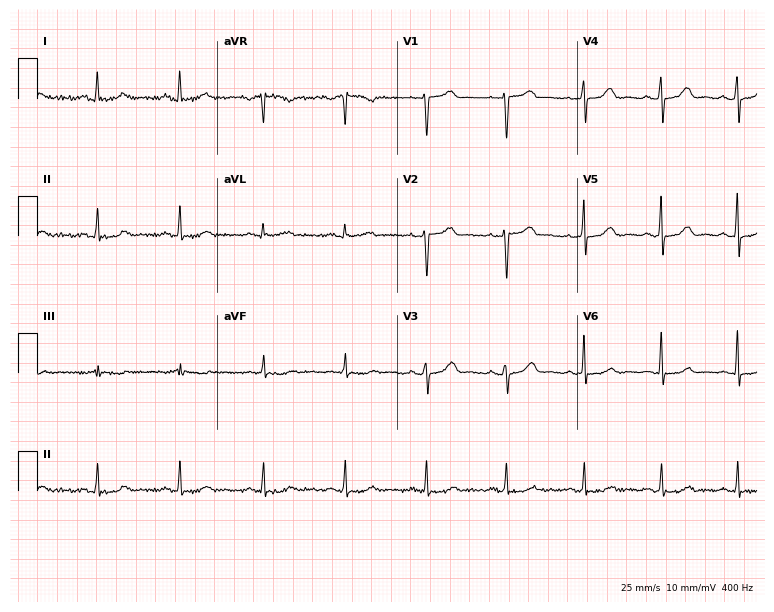
Resting 12-lead electrocardiogram. Patient: a woman, 53 years old. Read as a normal ECG.